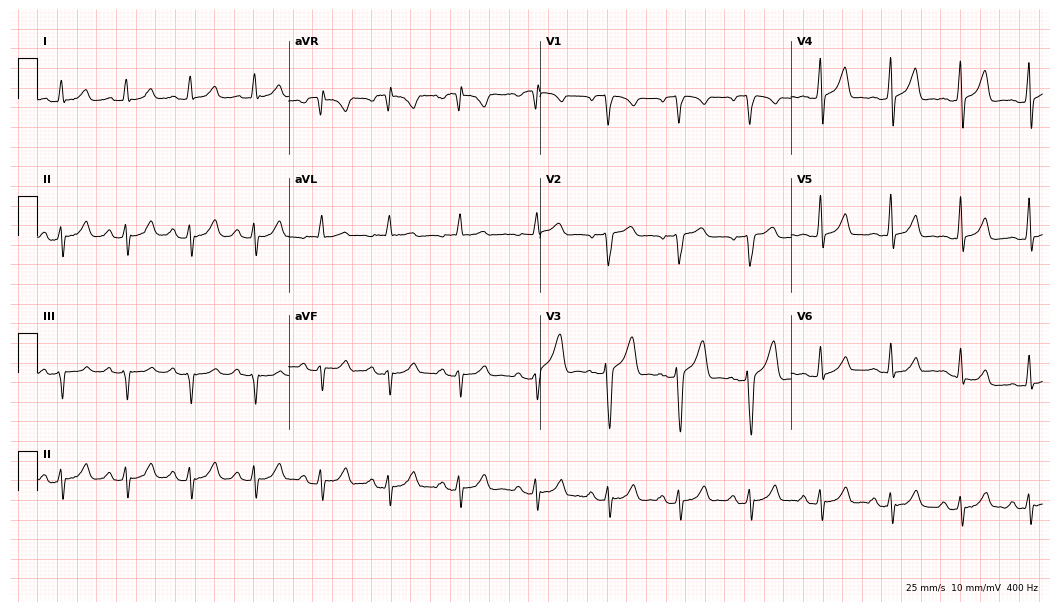
Electrocardiogram, a male patient, 47 years old. Of the six screened findings (first-degree AV block, right bundle branch block, left bundle branch block, sinus bradycardia, atrial fibrillation, sinus tachycardia), none is recorded.